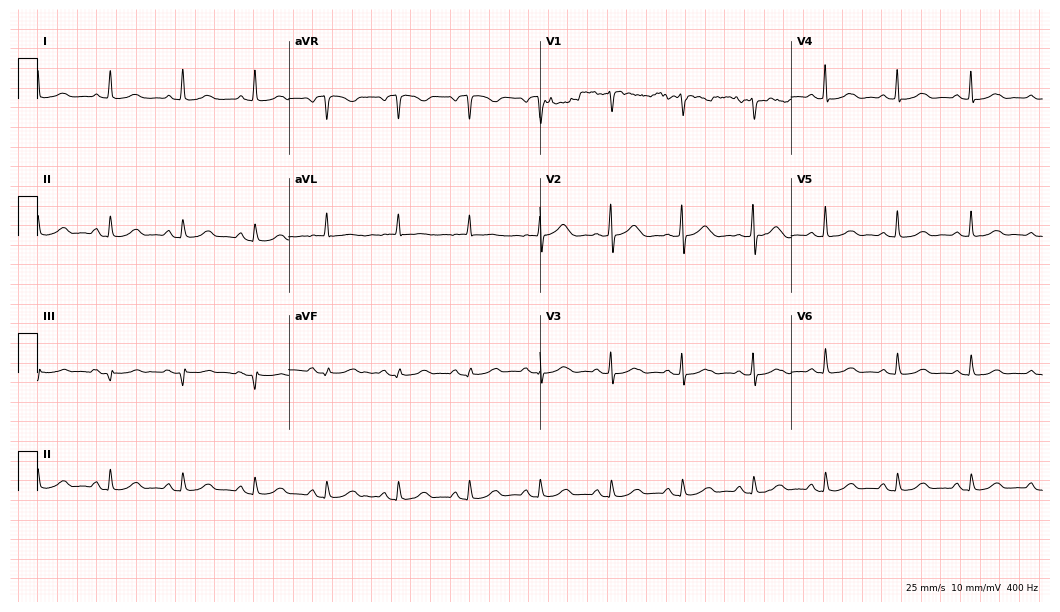
12-lead ECG from an 84-year-old female patient. Recorded interpretation: within normal limits.